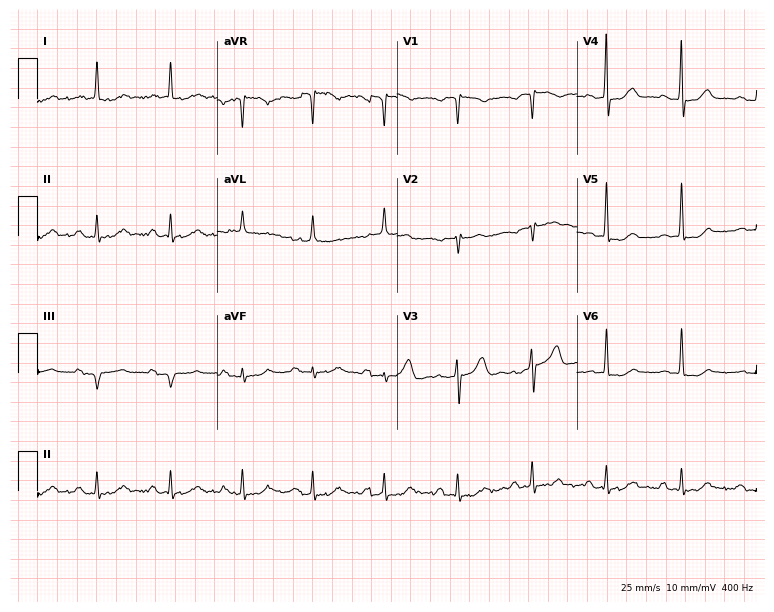
12-lead ECG from a female, 79 years old. Screened for six findings — first-degree AV block, right bundle branch block, left bundle branch block, sinus bradycardia, atrial fibrillation, sinus tachycardia — none is recorded.